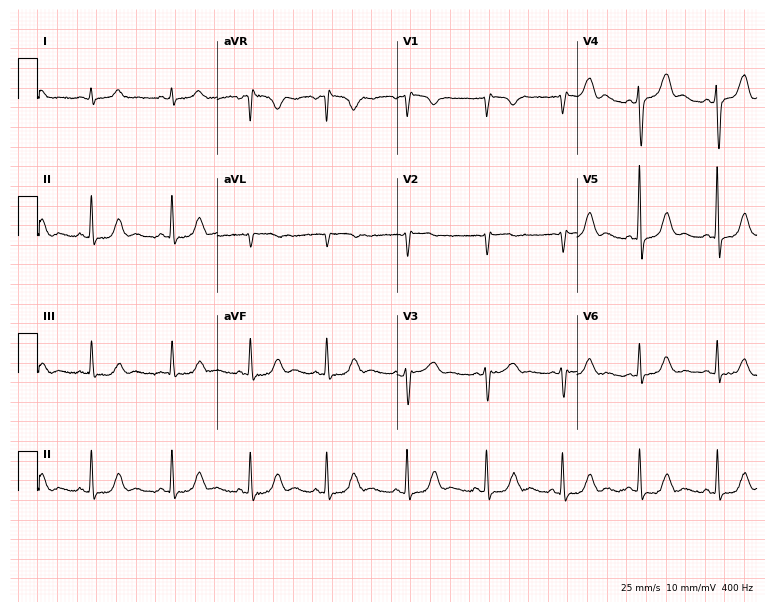
ECG — a 53-year-old female patient. Screened for six findings — first-degree AV block, right bundle branch block (RBBB), left bundle branch block (LBBB), sinus bradycardia, atrial fibrillation (AF), sinus tachycardia — none is recorded. Only these six findings were labelled.